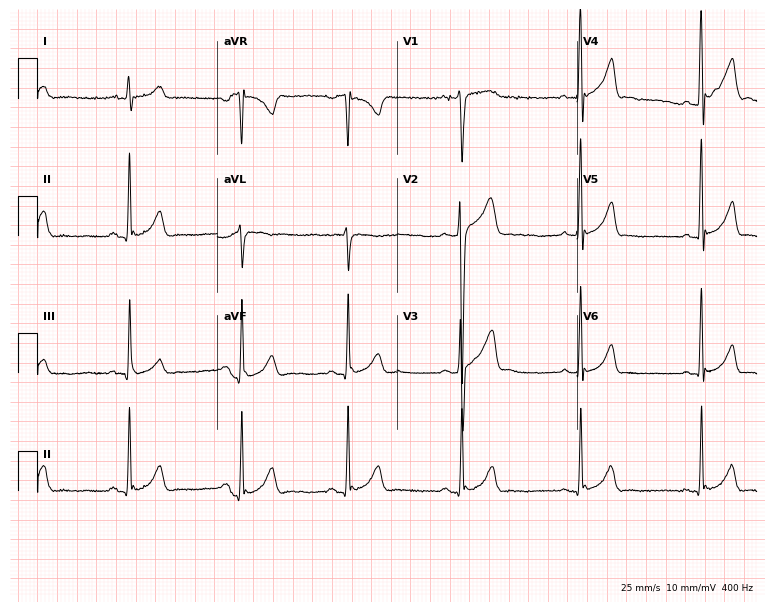
Electrocardiogram, a man, 18 years old. Overall reading on record: normal ECG.